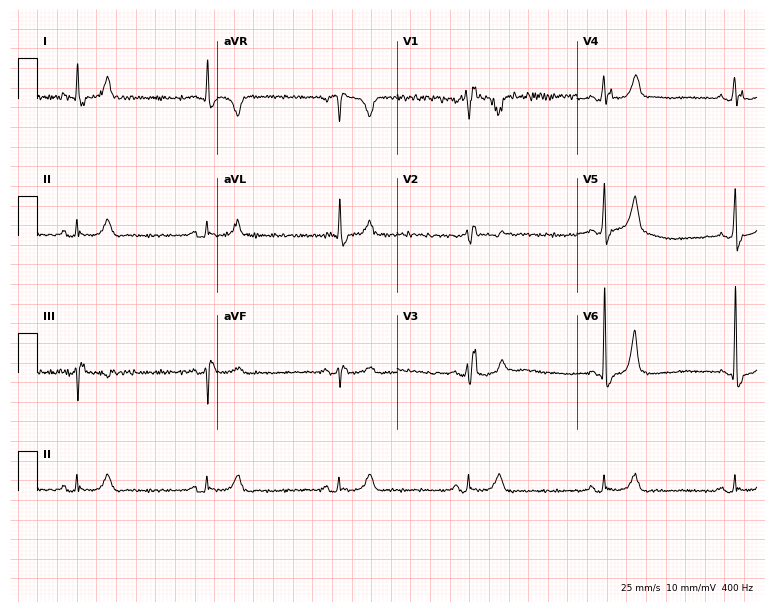
12-lead ECG from a 68-year-old man. Shows right bundle branch block, sinus bradycardia (a sinus rate of 50 beats per minute or less).